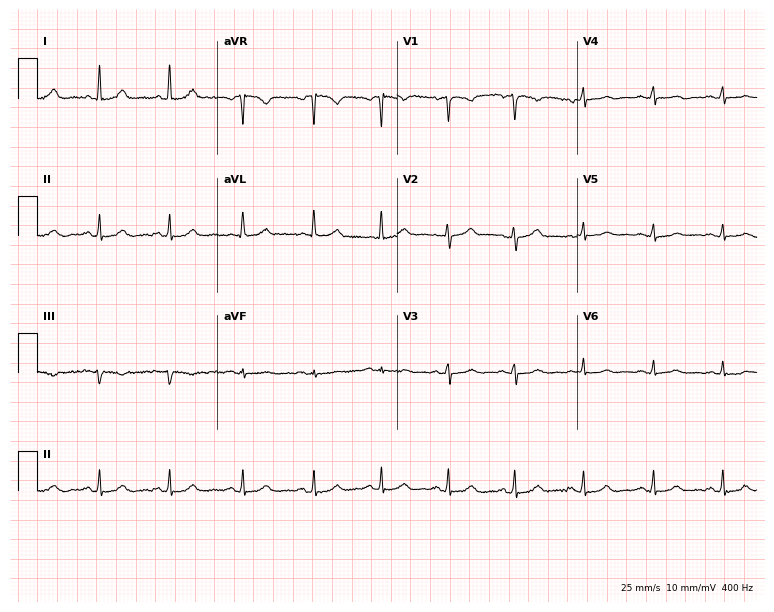
ECG (7.3-second recording at 400 Hz) — a female patient, 53 years old. Labelled as a normal ECG.